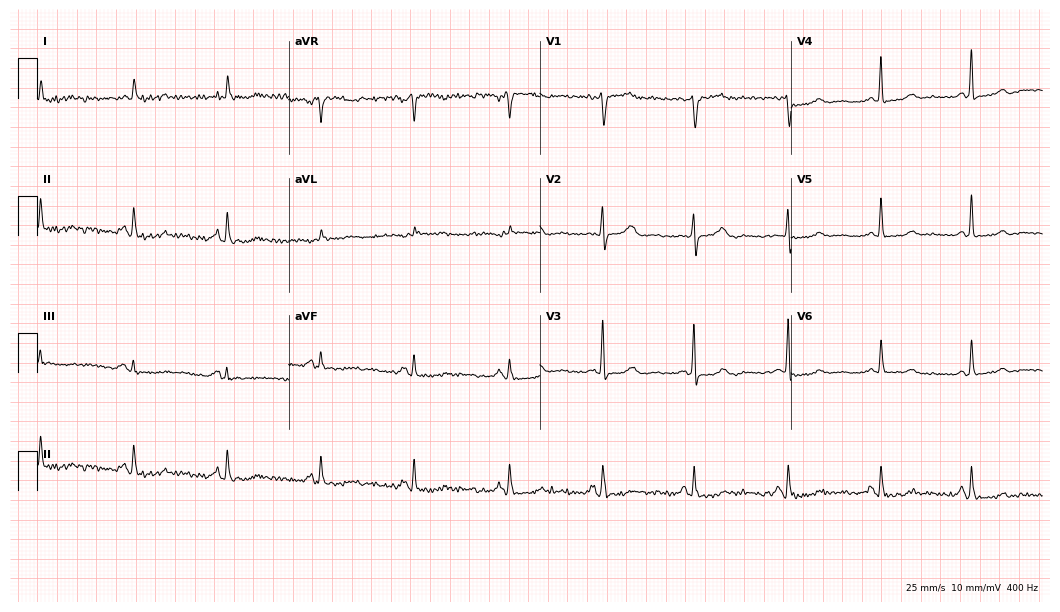
Standard 12-lead ECG recorded from a female, 77 years old (10.2-second recording at 400 Hz). None of these six findings is recorded: first-degree AV block, right bundle branch block, left bundle branch block, sinus bradycardia, atrial fibrillation, sinus tachycardia. Only these six findings were labelled.